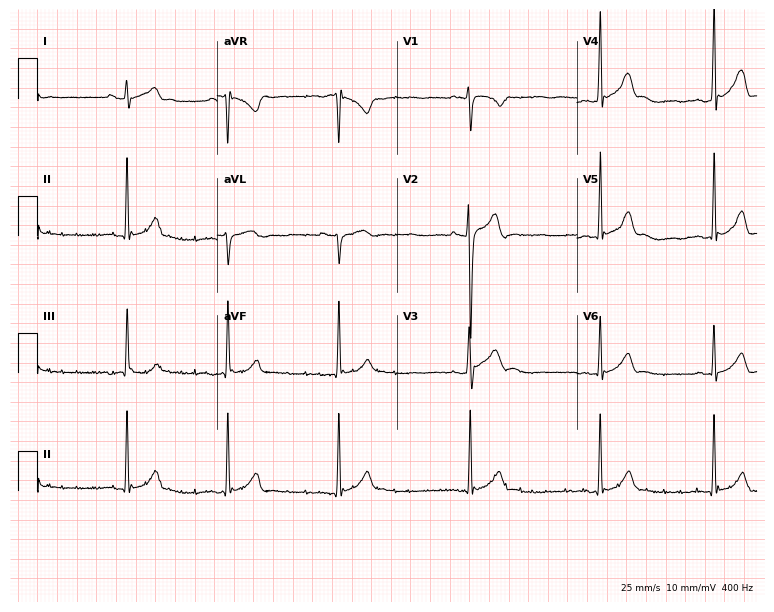
Resting 12-lead electrocardiogram. Patient: a male, 18 years old. Read as a normal ECG.